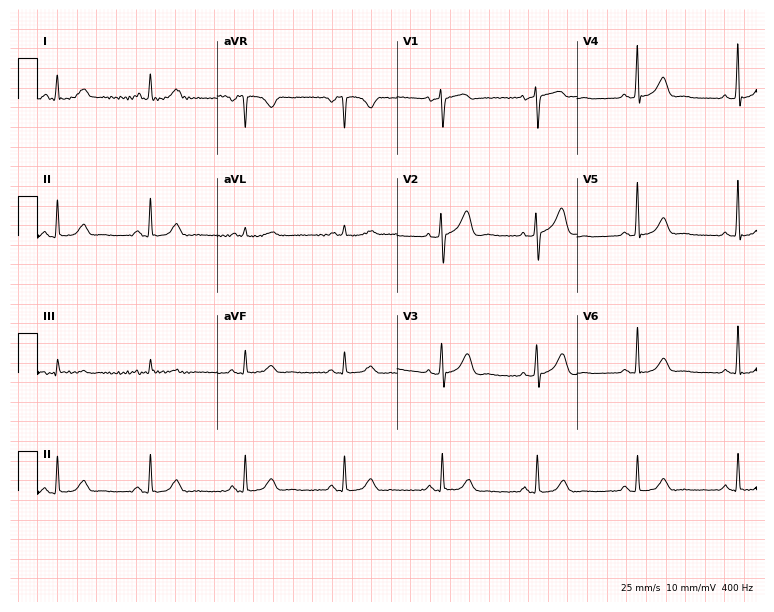
ECG — a female, 57 years old. Screened for six findings — first-degree AV block, right bundle branch block, left bundle branch block, sinus bradycardia, atrial fibrillation, sinus tachycardia — none is recorded.